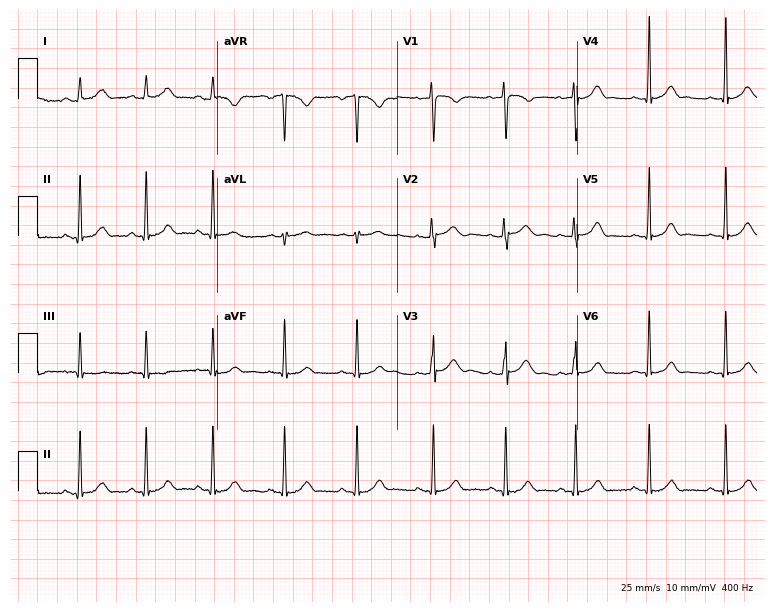
Standard 12-lead ECG recorded from a 23-year-old female patient (7.3-second recording at 400 Hz). Read as a normal ECG.